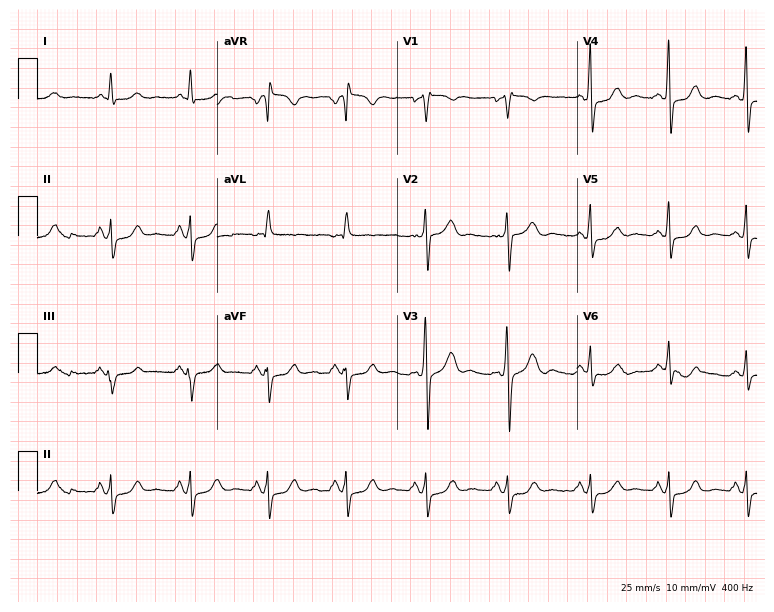
ECG — a male, 65 years old. Screened for six findings — first-degree AV block, right bundle branch block, left bundle branch block, sinus bradycardia, atrial fibrillation, sinus tachycardia — none is recorded.